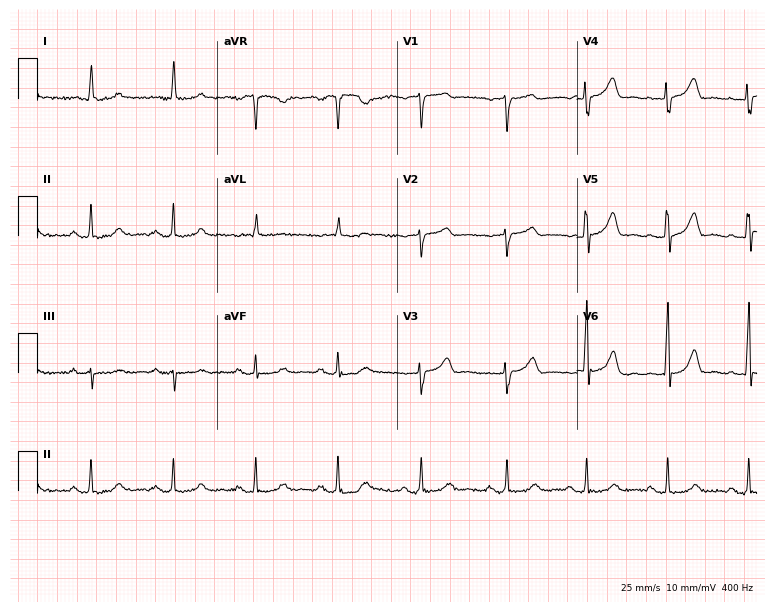
12-lead ECG (7.3-second recording at 400 Hz) from an 82-year-old man. Screened for six findings — first-degree AV block, right bundle branch block, left bundle branch block, sinus bradycardia, atrial fibrillation, sinus tachycardia — none is recorded.